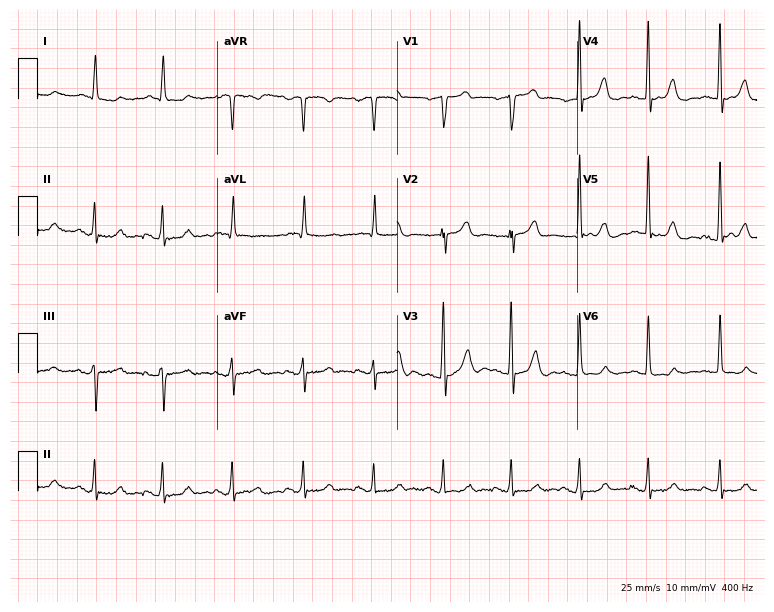
12-lead ECG from a 63-year-old male. Recorded interpretation: within normal limits.